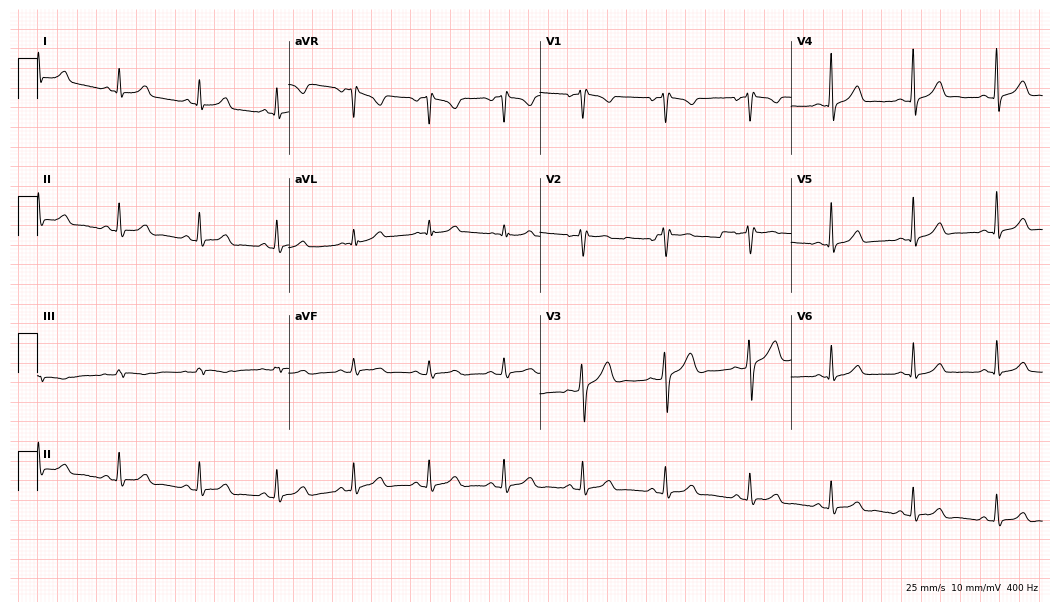
12-lead ECG from a 34-year-old female patient. Recorded interpretation: within normal limits.